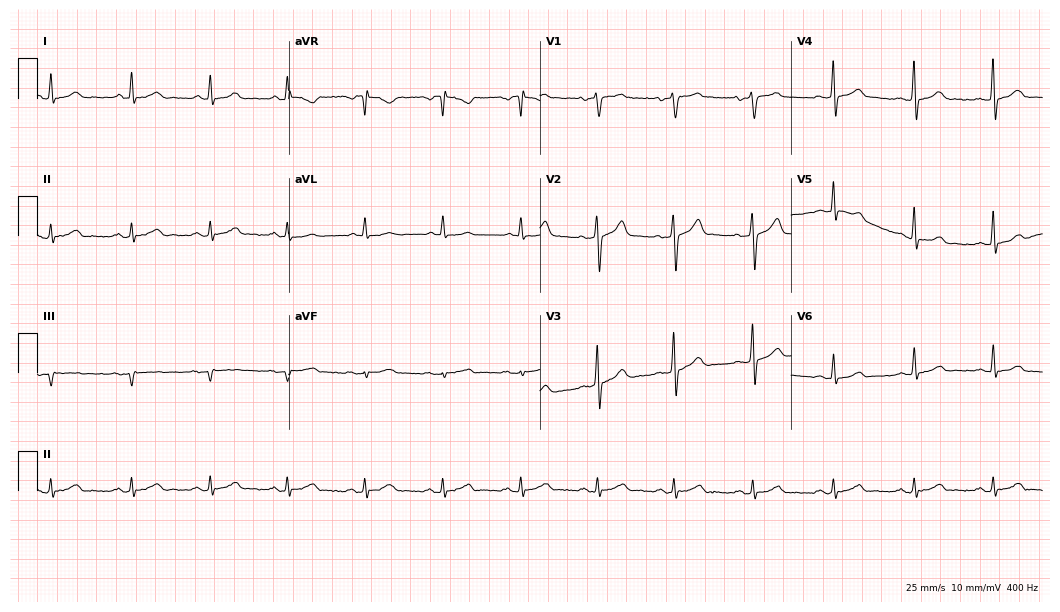
Resting 12-lead electrocardiogram. Patient: a male, 50 years old. None of these six findings is recorded: first-degree AV block, right bundle branch block (RBBB), left bundle branch block (LBBB), sinus bradycardia, atrial fibrillation (AF), sinus tachycardia.